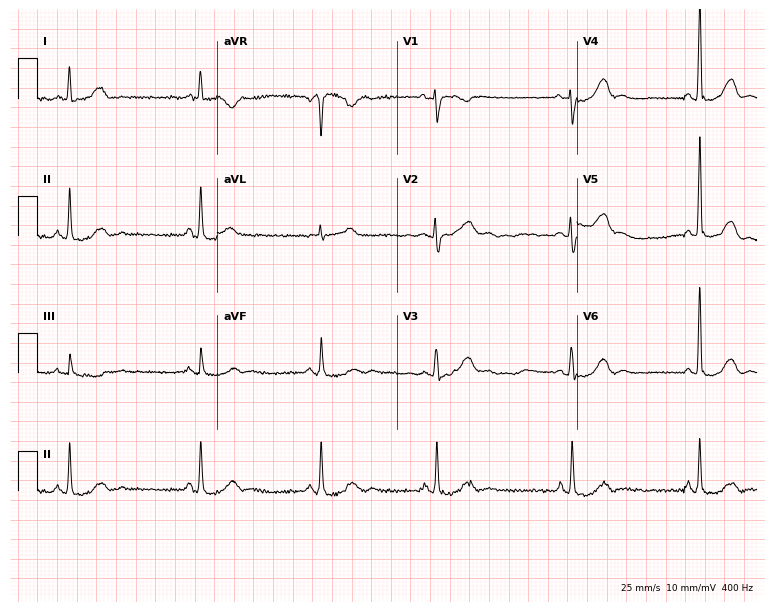
12-lead ECG from a female patient, 53 years old (7.3-second recording at 400 Hz). No first-degree AV block, right bundle branch block, left bundle branch block, sinus bradycardia, atrial fibrillation or sinus tachycardia recorded for this tracing.